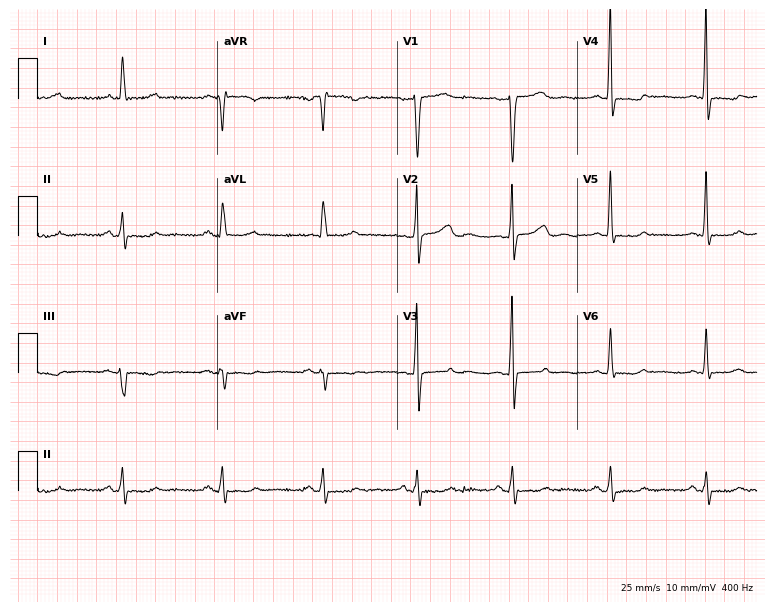
Resting 12-lead electrocardiogram (7.3-second recording at 400 Hz). Patient: a woman, 48 years old. None of these six findings is recorded: first-degree AV block, right bundle branch block, left bundle branch block, sinus bradycardia, atrial fibrillation, sinus tachycardia. Only these six findings were labelled.